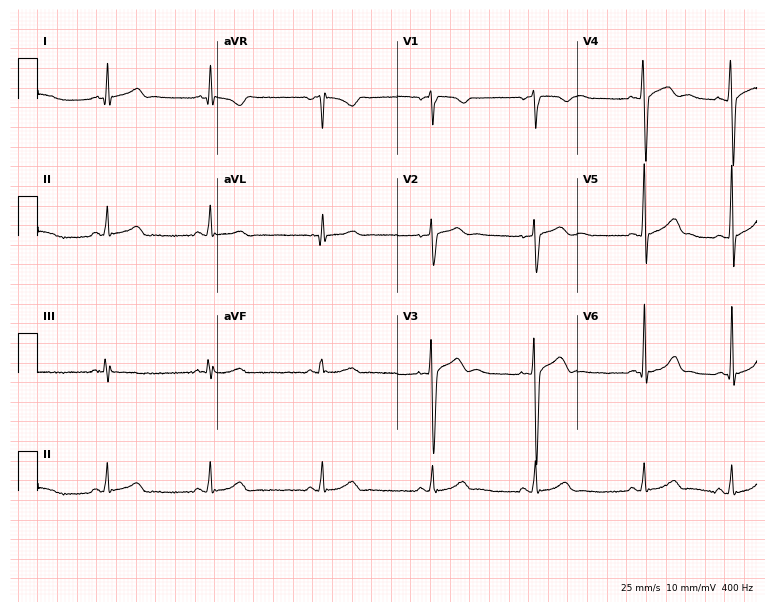
ECG — a 22-year-old woman. Labelled as a normal ECG.